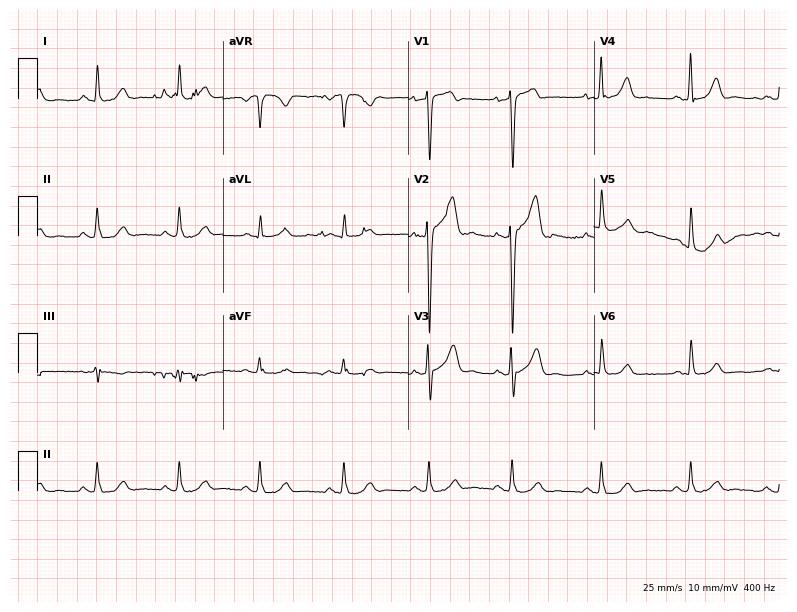
ECG (7.6-second recording at 400 Hz) — a male, 56 years old. Labelled as a normal ECG.